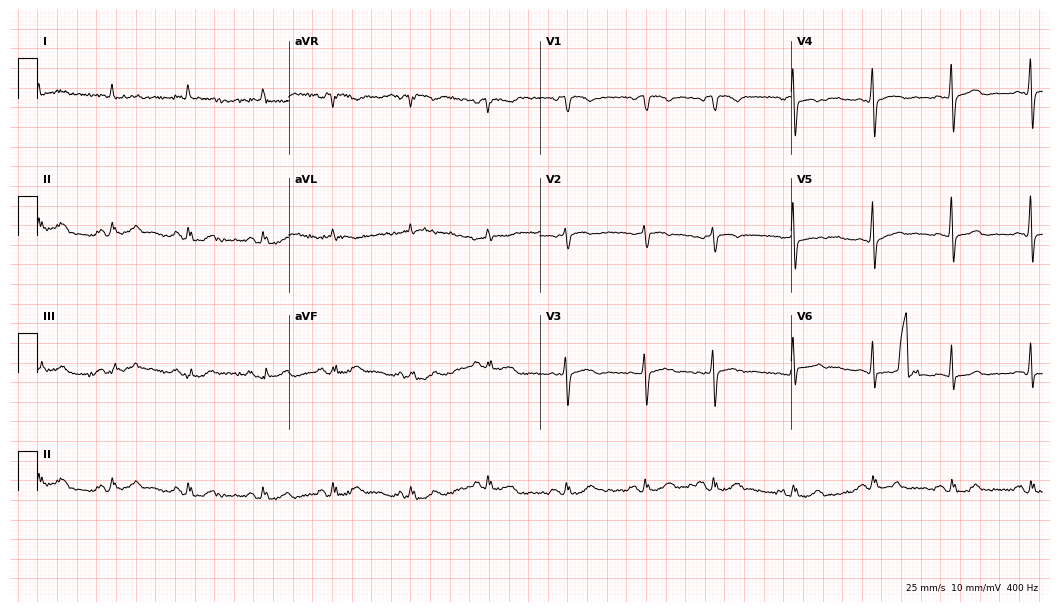
Standard 12-lead ECG recorded from a 73-year-old man (10.2-second recording at 400 Hz). None of these six findings is recorded: first-degree AV block, right bundle branch block (RBBB), left bundle branch block (LBBB), sinus bradycardia, atrial fibrillation (AF), sinus tachycardia. Only these six findings were labelled.